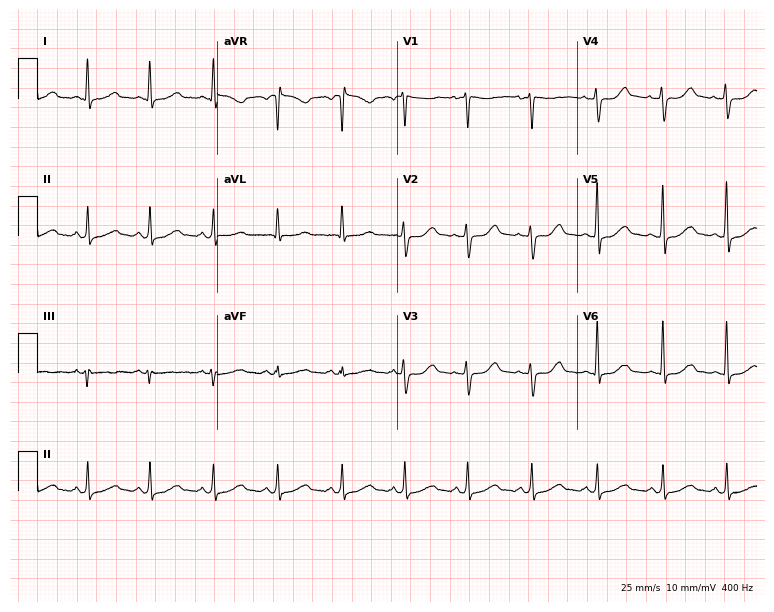
Standard 12-lead ECG recorded from a 46-year-old woman. None of these six findings is recorded: first-degree AV block, right bundle branch block (RBBB), left bundle branch block (LBBB), sinus bradycardia, atrial fibrillation (AF), sinus tachycardia.